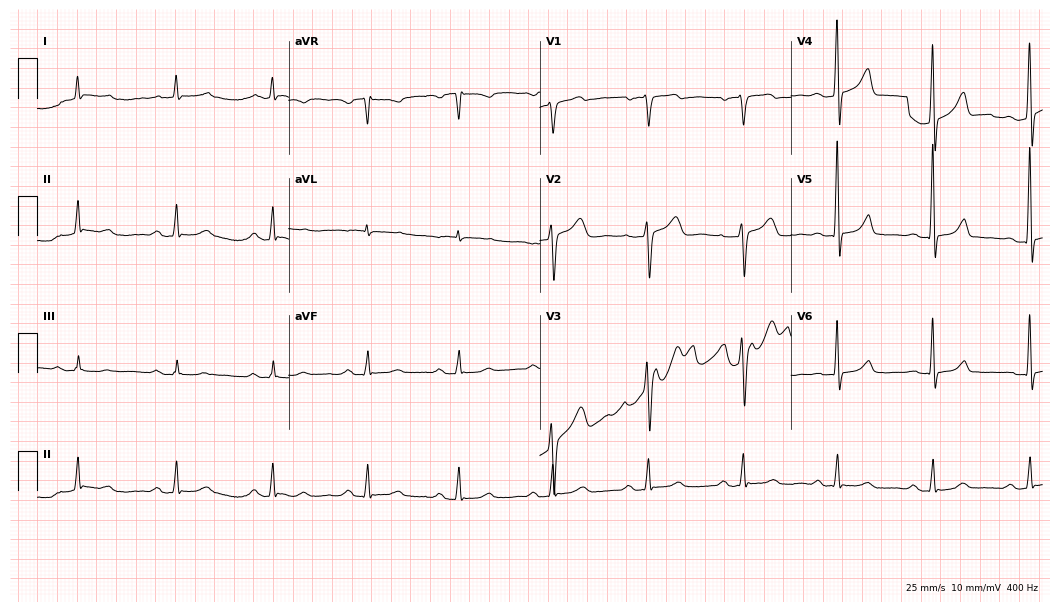
12-lead ECG (10.2-second recording at 400 Hz) from a man, 58 years old. Findings include first-degree AV block.